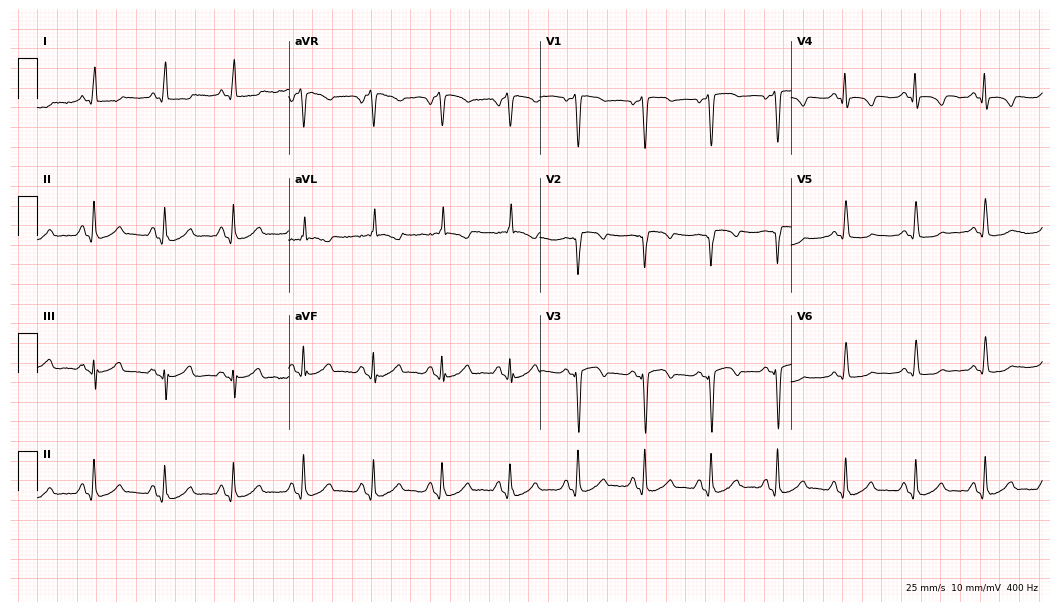
Electrocardiogram (10.2-second recording at 400 Hz), a 49-year-old man. Overall reading on record: normal ECG.